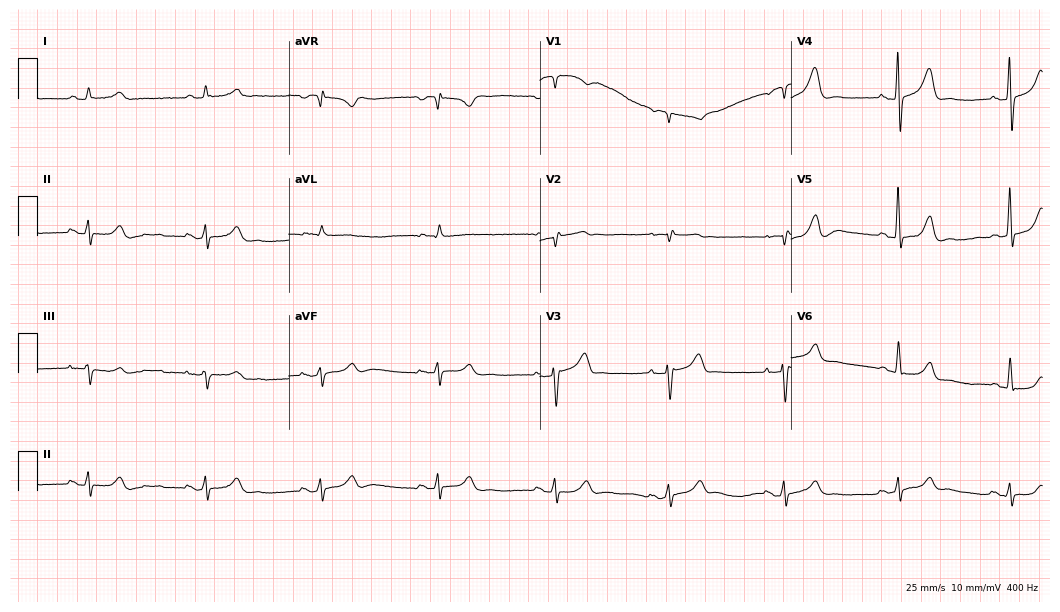
Standard 12-lead ECG recorded from a 62-year-old male. None of these six findings is recorded: first-degree AV block, right bundle branch block, left bundle branch block, sinus bradycardia, atrial fibrillation, sinus tachycardia. Other findings, if any, are not listed.